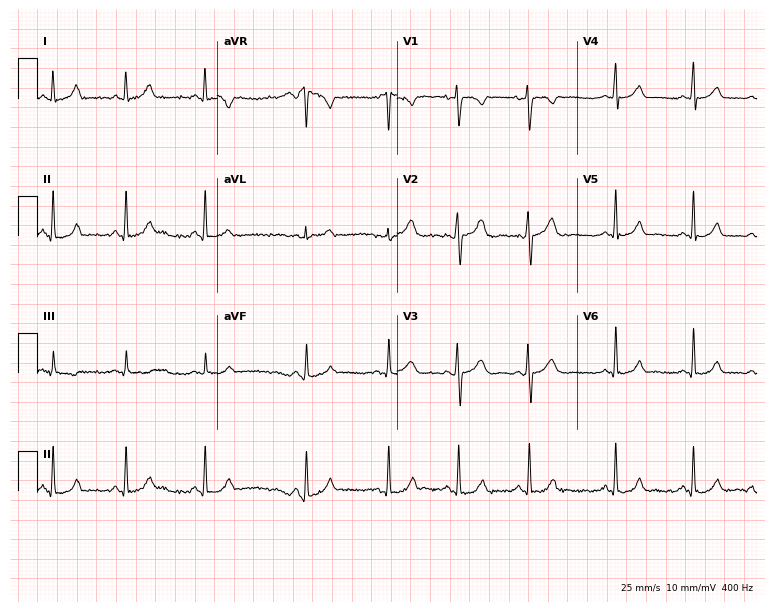
Resting 12-lead electrocardiogram (7.3-second recording at 400 Hz). Patient: a woman, 19 years old. Read as a normal ECG.